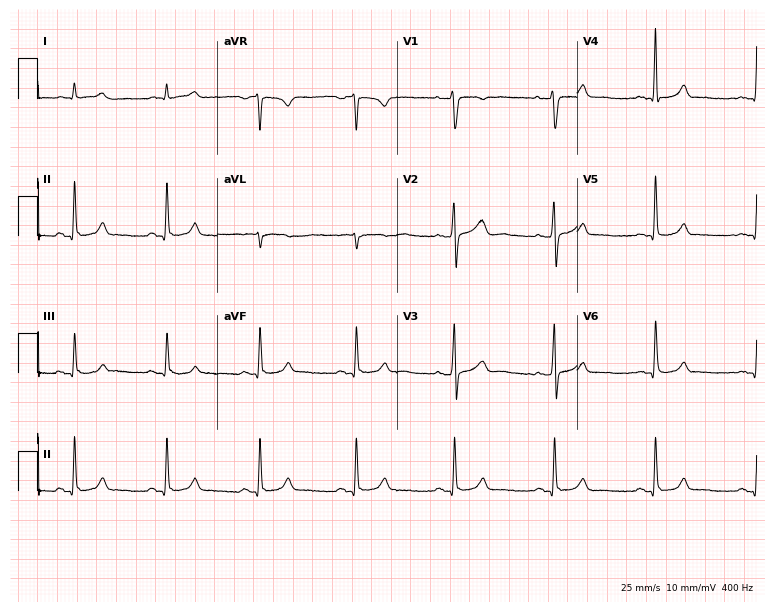
12-lead ECG from a male, 49 years old. No first-degree AV block, right bundle branch block, left bundle branch block, sinus bradycardia, atrial fibrillation or sinus tachycardia recorded for this tracing.